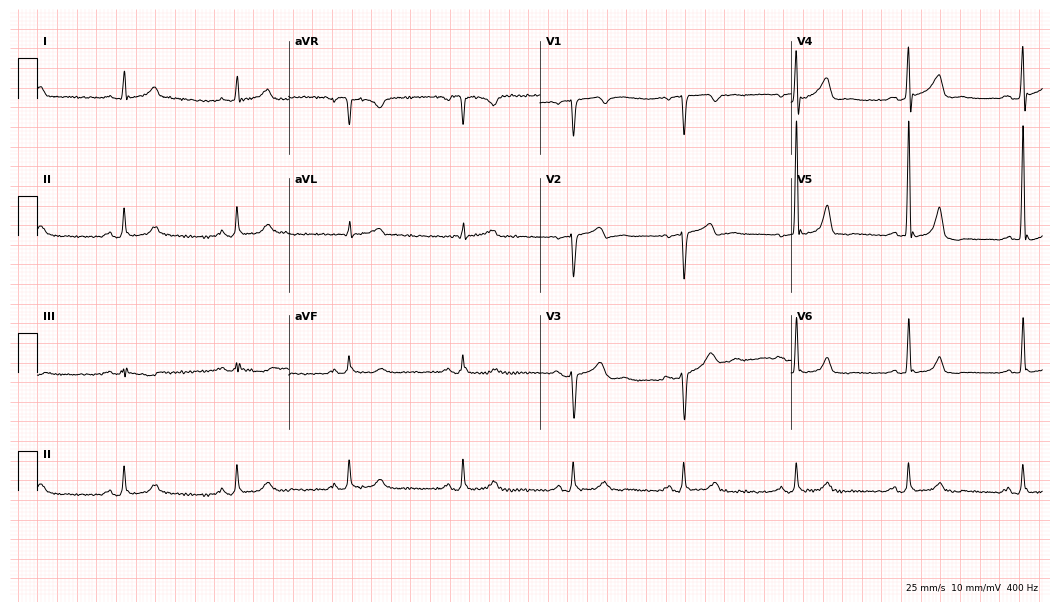
Electrocardiogram, a 59-year-old man. Overall reading on record: normal ECG.